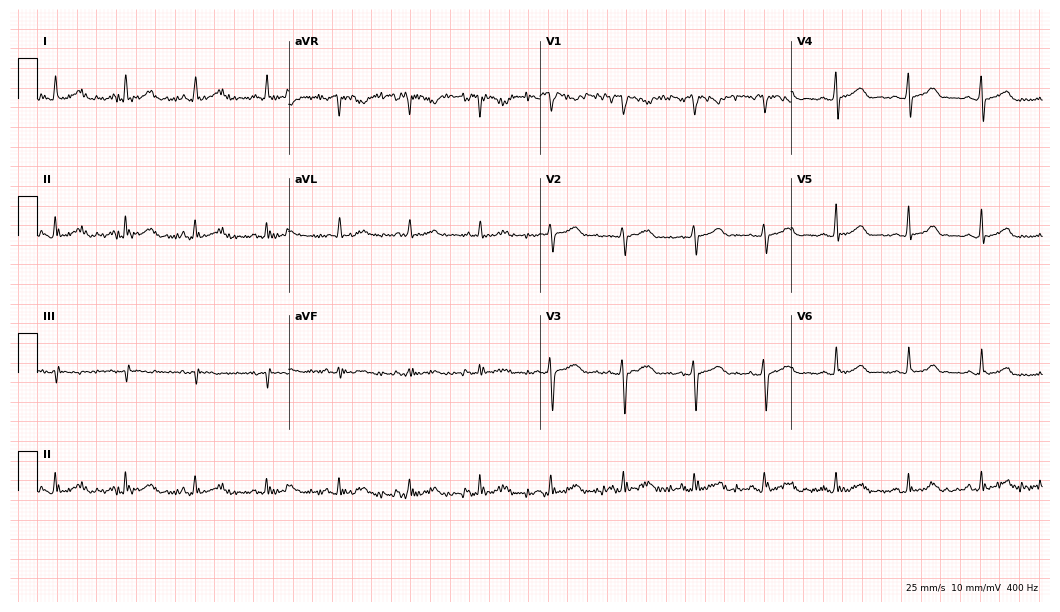
12-lead ECG (10.2-second recording at 400 Hz) from a woman, 48 years old. Labelled as a normal ECG.